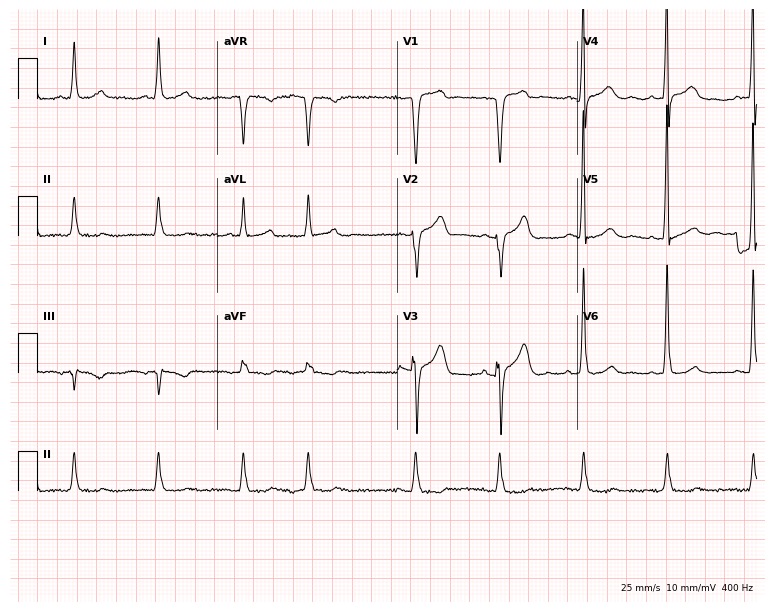
Resting 12-lead electrocardiogram (7.3-second recording at 400 Hz). Patient: a 71-year-old male. None of these six findings is recorded: first-degree AV block, right bundle branch block, left bundle branch block, sinus bradycardia, atrial fibrillation, sinus tachycardia.